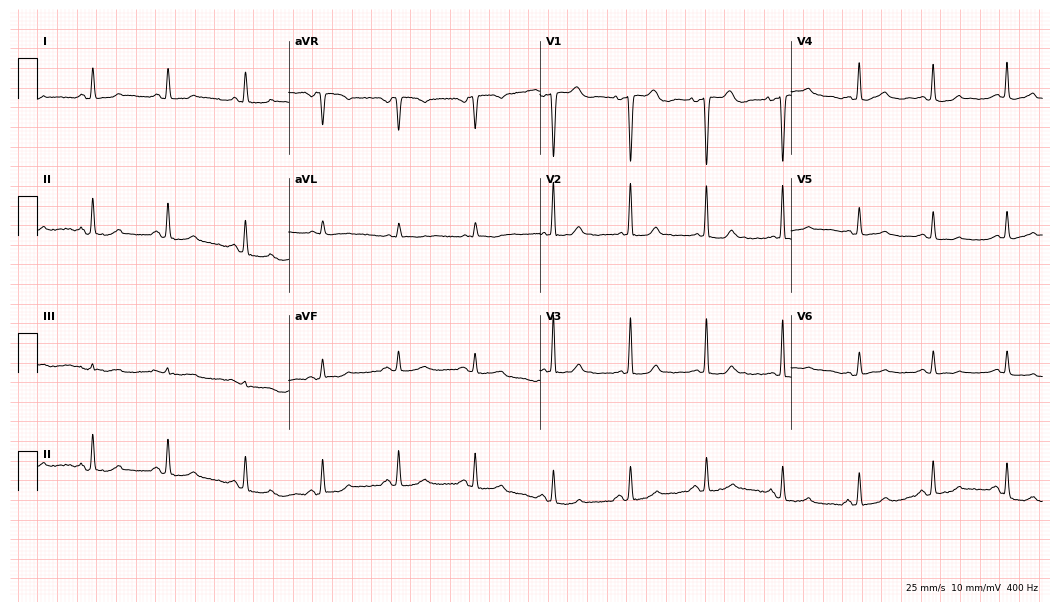
Standard 12-lead ECG recorded from a female, 80 years old (10.2-second recording at 400 Hz). None of these six findings is recorded: first-degree AV block, right bundle branch block, left bundle branch block, sinus bradycardia, atrial fibrillation, sinus tachycardia.